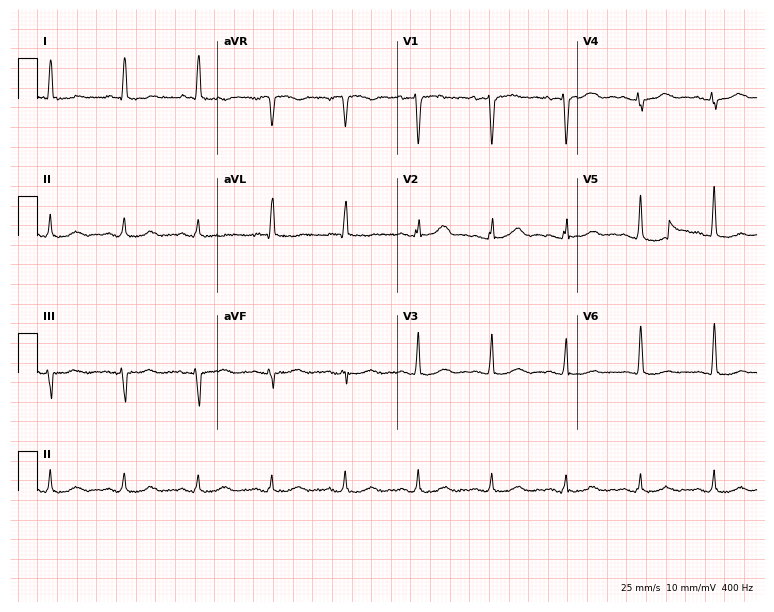
Electrocardiogram, a female patient, 71 years old. Of the six screened findings (first-degree AV block, right bundle branch block, left bundle branch block, sinus bradycardia, atrial fibrillation, sinus tachycardia), none is recorded. Only these six findings were labelled.